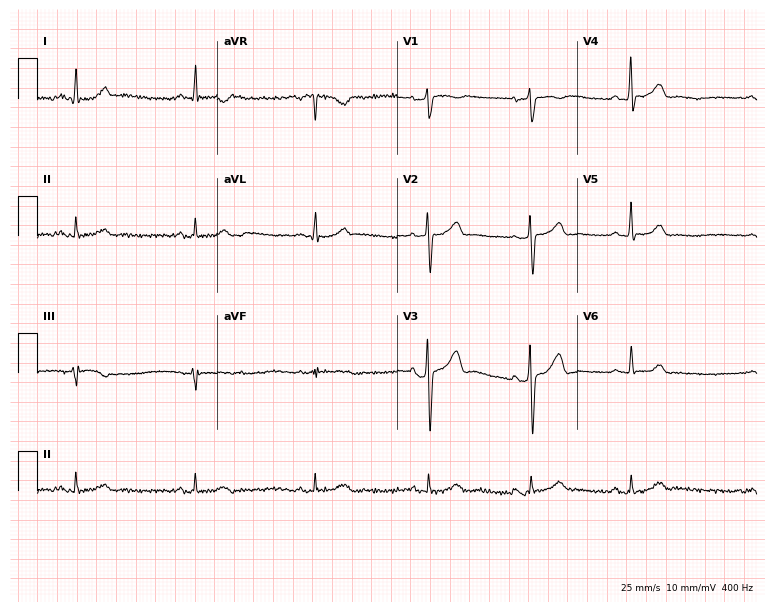
12-lead ECG from a male patient, 50 years old. Labelled as a normal ECG.